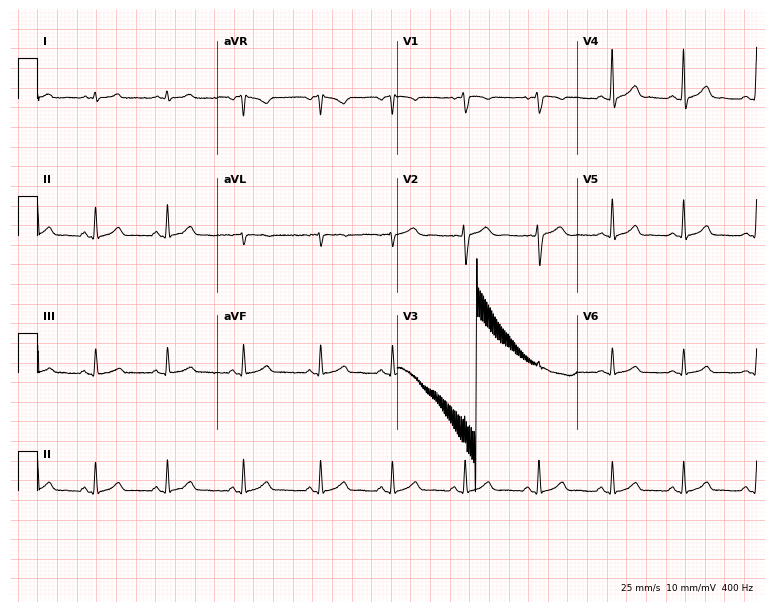
Resting 12-lead electrocardiogram (7.3-second recording at 400 Hz). Patient: a man, 21 years old. Read as a normal ECG.